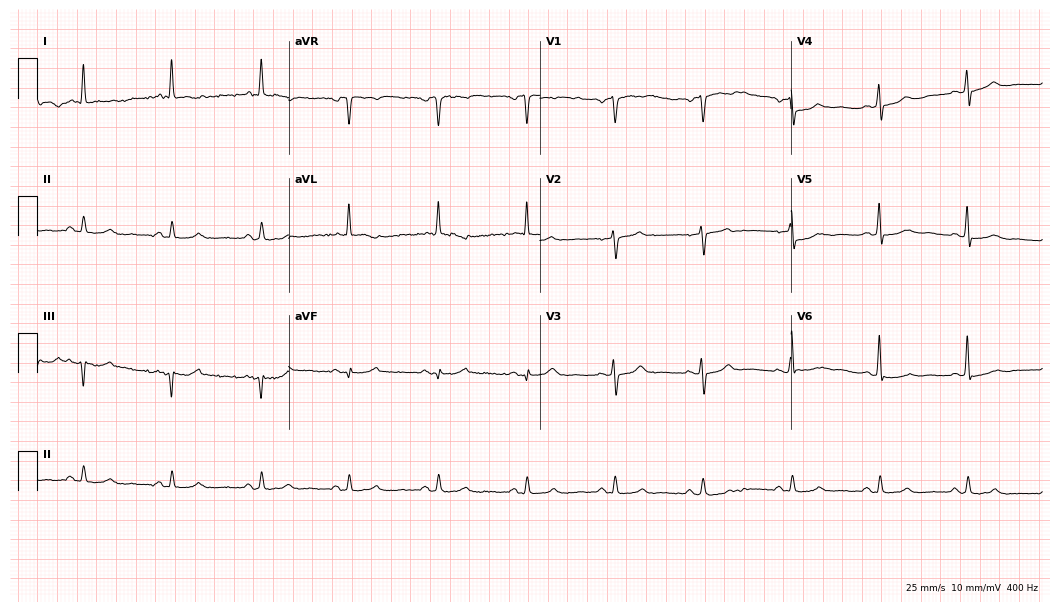
12-lead ECG from an 81-year-old male patient (10.2-second recording at 400 Hz). No first-degree AV block, right bundle branch block, left bundle branch block, sinus bradycardia, atrial fibrillation or sinus tachycardia recorded for this tracing.